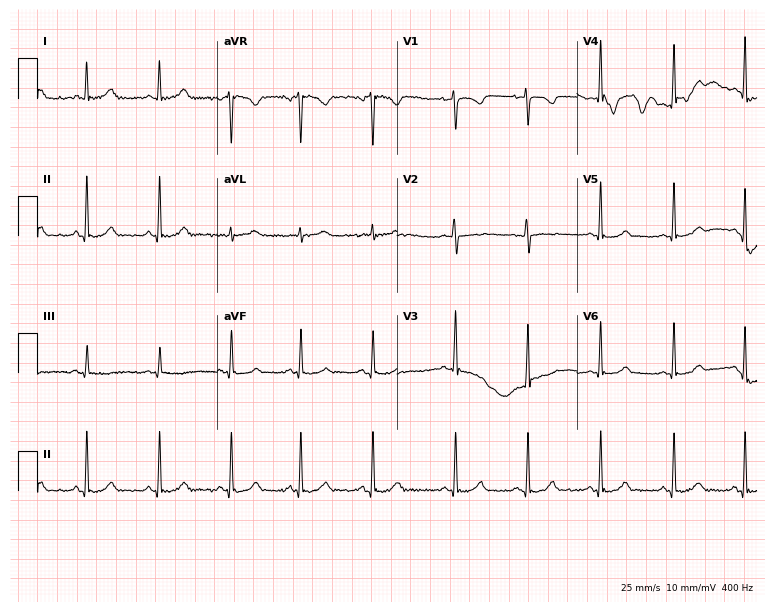
ECG (7.3-second recording at 400 Hz) — a female patient, 22 years old. Labelled as a normal ECG.